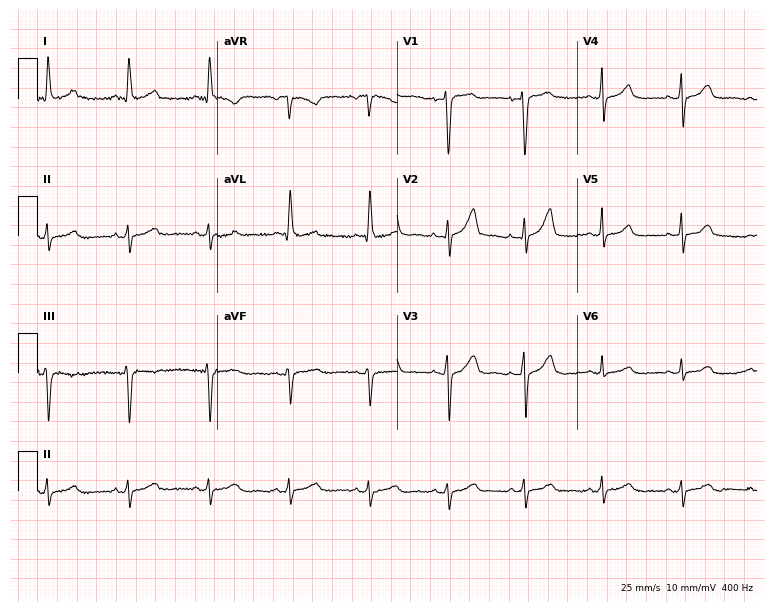
Resting 12-lead electrocardiogram (7.3-second recording at 400 Hz). Patient: a 50-year-old female. Read as a normal ECG.